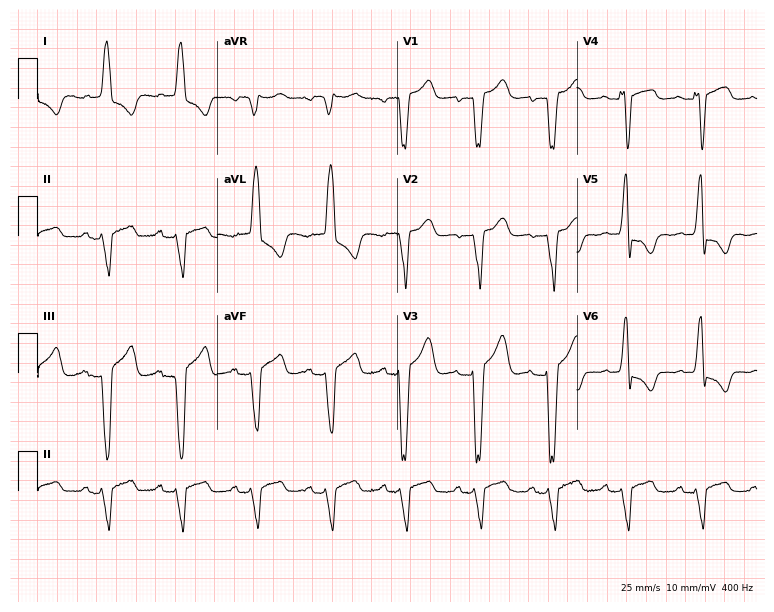
Resting 12-lead electrocardiogram (7.3-second recording at 400 Hz). Patient: a female, 83 years old. The tracing shows left bundle branch block.